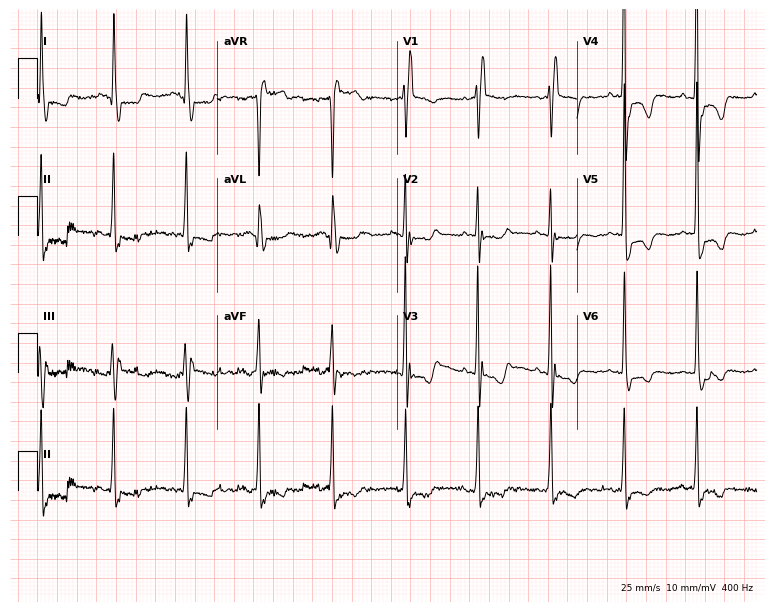
Electrocardiogram (7.3-second recording at 400 Hz), a woman, 77 years old. Of the six screened findings (first-degree AV block, right bundle branch block (RBBB), left bundle branch block (LBBB), sinus bradycardia, atrial fibrillation (AF), sinus tachycardia), none is recorded.